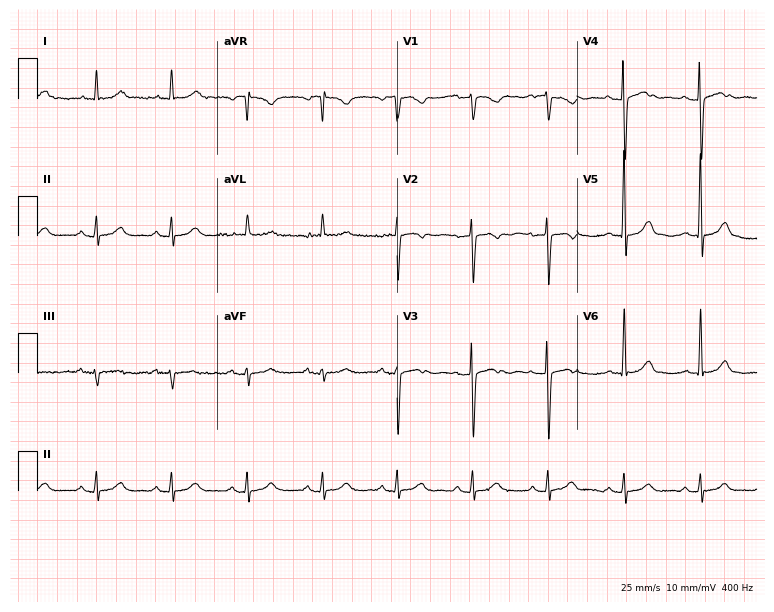
ECG — a female patient, 79 years old. Screened for six findings — first-degree AV block, right bundle branch block, left bundle branch block, sinus bradycardia, atrial fibrillation, sinus tachycardia — none is recorded.